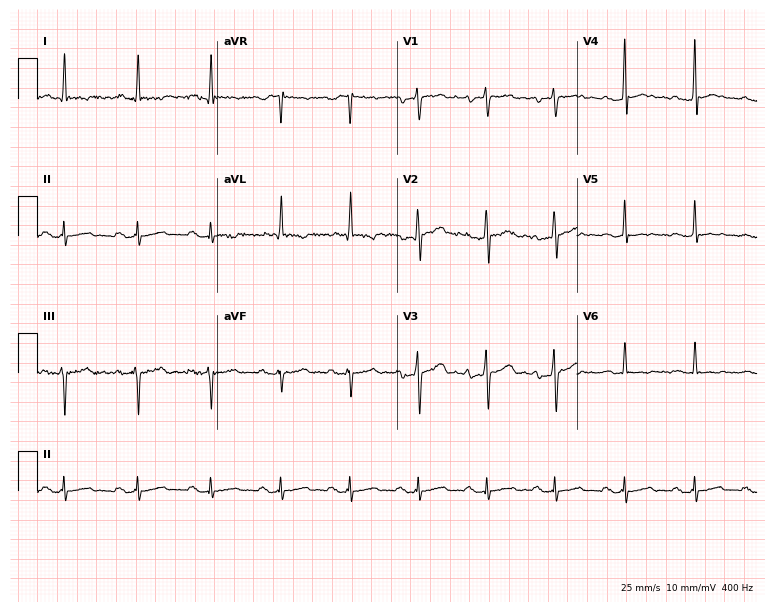
12-lead ECG from a man, 50 years old. No first-degree AV block, right bundle branch block (RBBB), left bundle branch block (LBBB), sinus bradycardia, atrial fibrillation (AF) or sinus tachycardia recorded for this tracing.